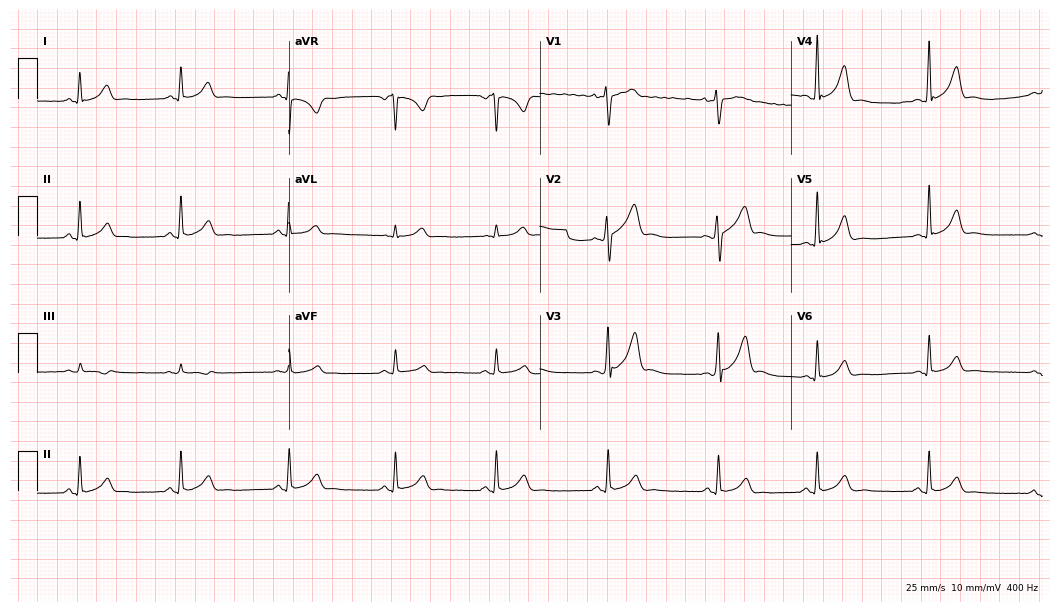
Electrocardiogram (10.2-second recording at 400 Hz), a woman, 28 years old. Overall reading on record: normal ECG.